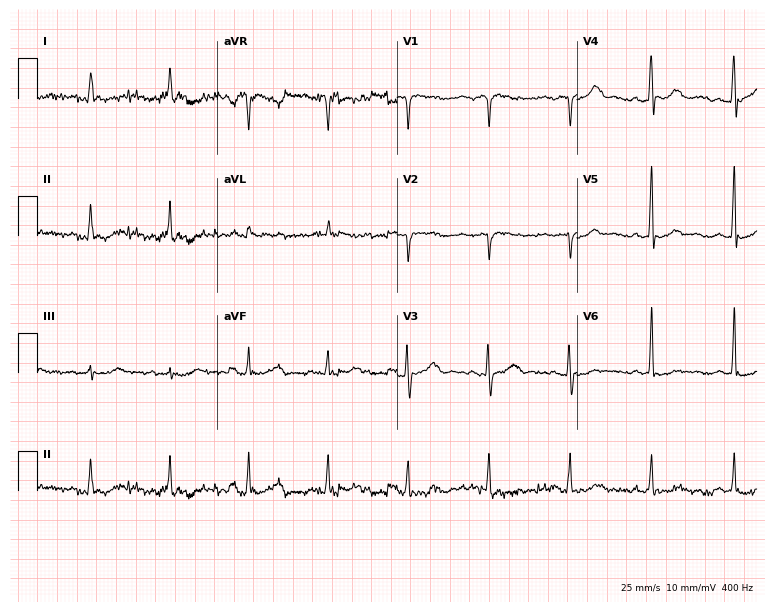
ECG — a 57-year-old female patient. Screened for six findings — first-degree AV block, right bundle branch block, left bundle branch block, sinus bradycardia, atrial fibrillation, sinus tachycardia — none is recorded.